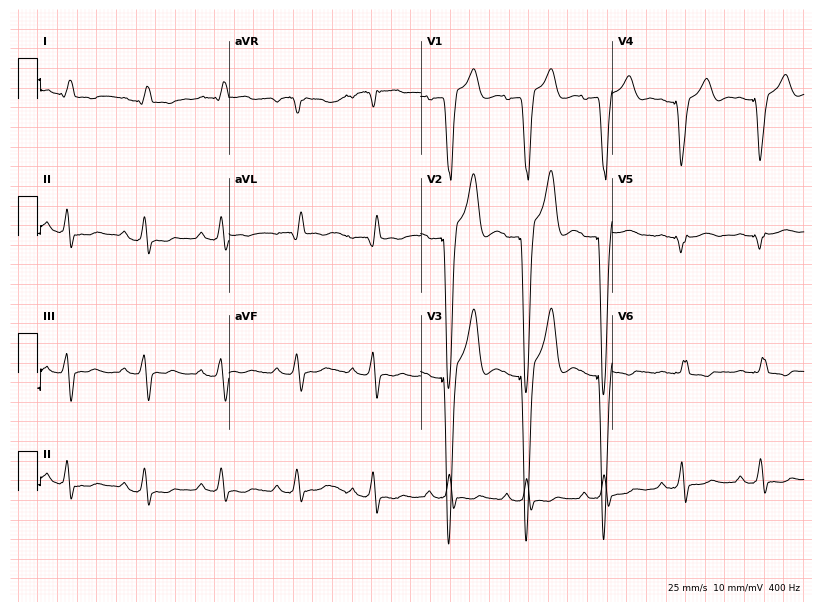
Resting 12-lead electrocardiogram. Patient: a woman, 79 years old. None of these six findings is recorded: first-degree AV block, right bundle branch block (RBBB), left bundle branch block (LBBB), sinus bradycardia, atrial fibrillation (AF), sinus tachycardia.